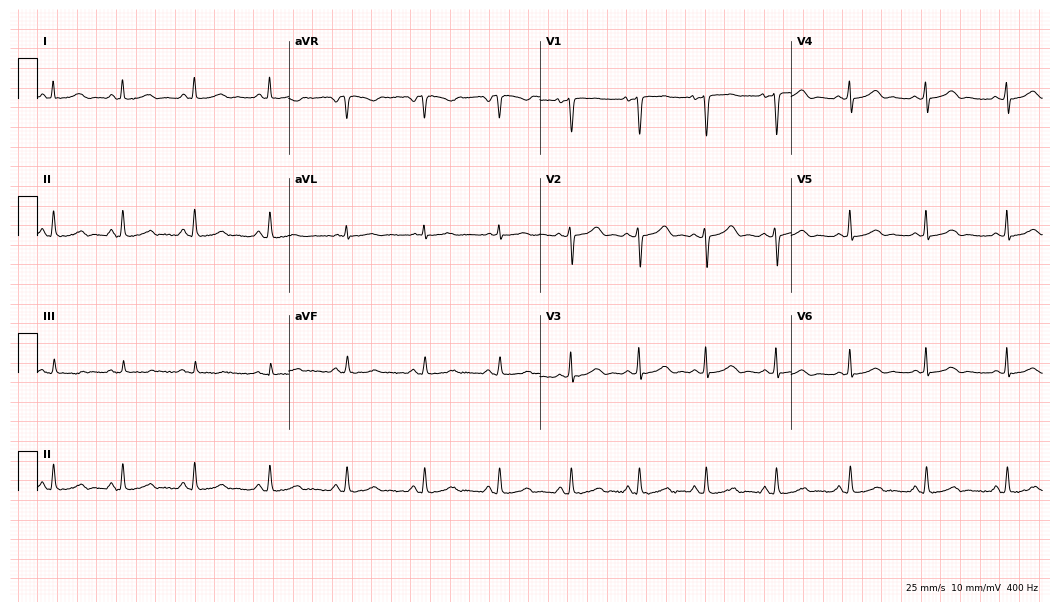
Standard 12-lead ECG recorded from a female patient, 36 years old (10.2-second recording at 400 Hz). None of these six findings is recorded: first-degree AV block, right bundle branch block, left bundle branch block, sinus bradycardia, atrial fibrillation, sinus tachycardia. Other findings, if any, are not listed.